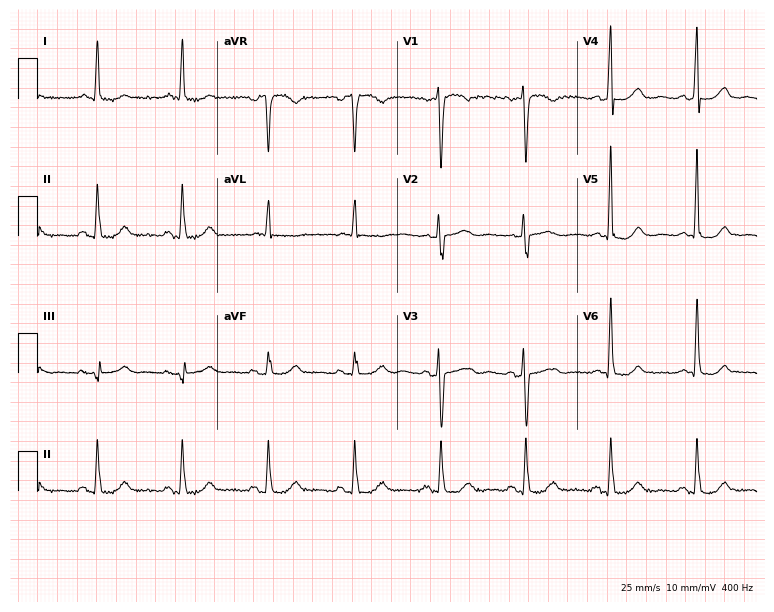
12-lead ECG (7.3-second recording at 400 Hz) from a woman, 51 years old. Labelled as a normal ECG.